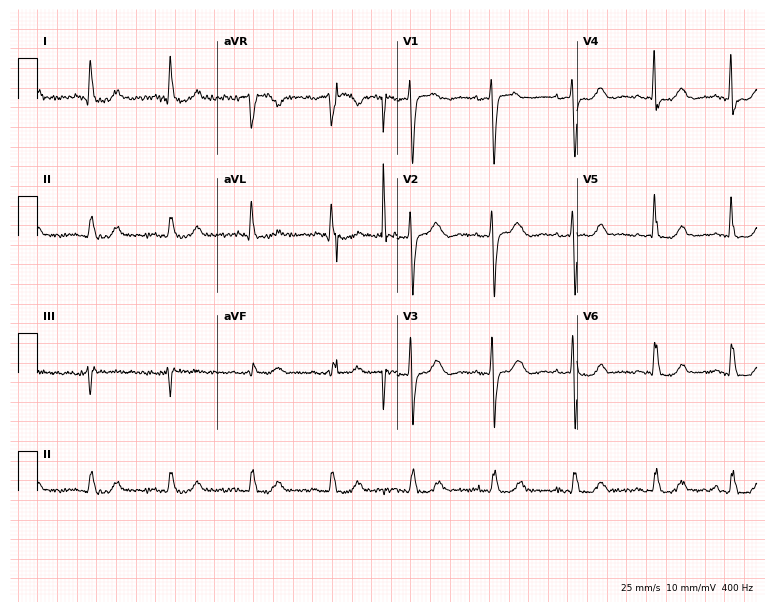
12-lead ECG from a woman, 80 years old (7.3-second recording at 400 Hz). No first-degree AV block, right bundle branch block (RBBB), left bundle branch block (LBBB), sinus bradycardia, atrial fibrillation (AF) or sinus tachycardia recorded for this tracing.